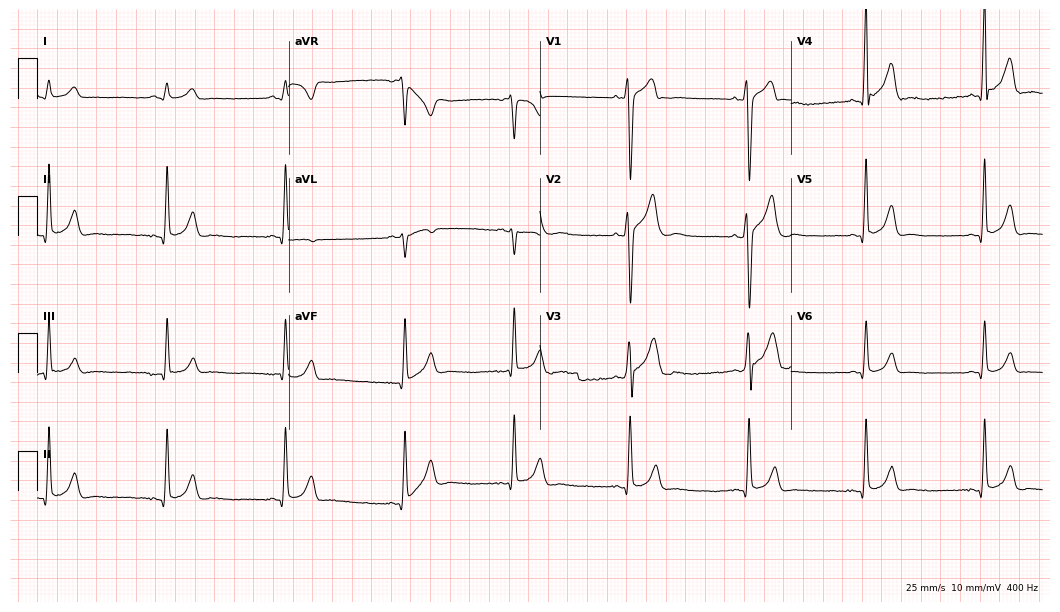
12-lead ECG from a 31-year-old male. Screened for six findings — first-degree AV block, right bundle branch block, left bundle branch block, sinus bradycardia, atrial fibrillation, sinus tachycardia — none is recorded.